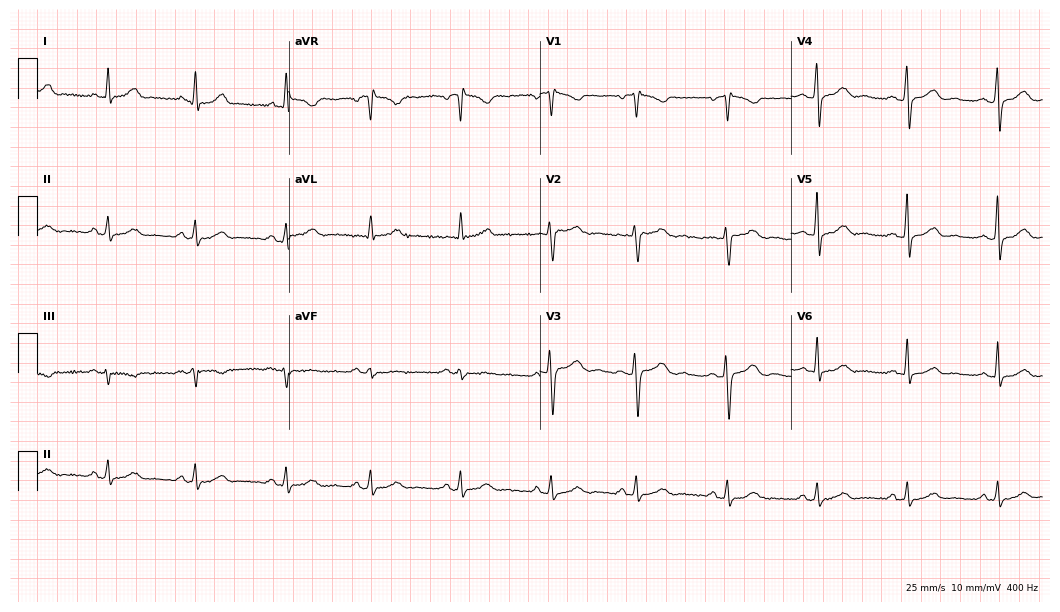
Standard 12-lead ECG recorded from a 38-year-old female. Read as a normal ECG.